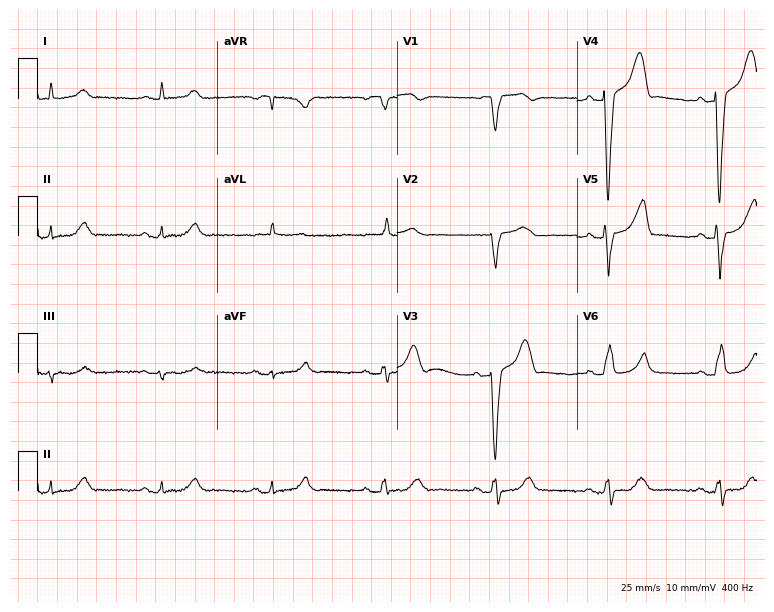
ECG — an 82-year-old man. Screened for six findings — first-degree AV block, right bundle branch block, left bundle branch block, sinus bradycardia, atrial fibrillation, sinus tachycardia — none is recorded. Other findings, if any, are not listed.